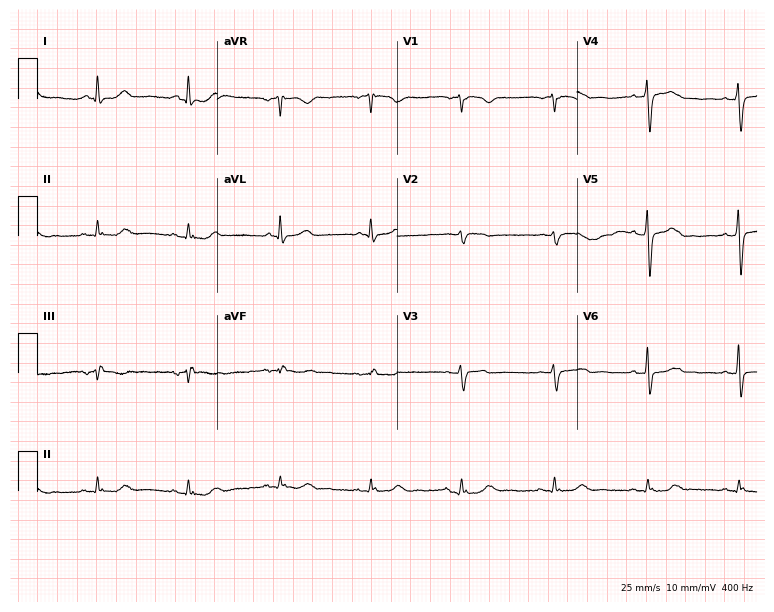
Standard 12-lead ECG recorded from a woman, 71 years old. None of these six findings is recorded: first-degree AV block, right bundle branch block (RBBB), left bundle branch block (LBBB), sinus bradycardia, atrial fibrillation (AF), sinus tachycardia.